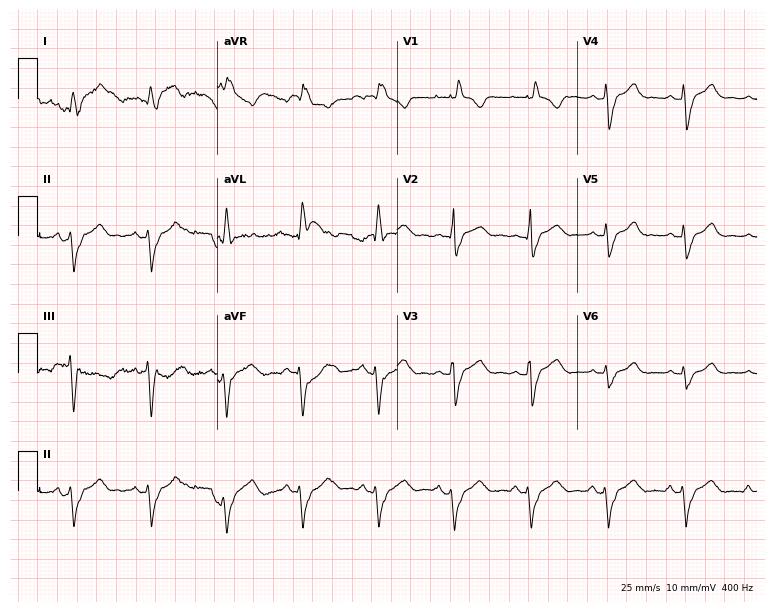
ECG — a 31-year-old woman. Findings include right bundle branch block.